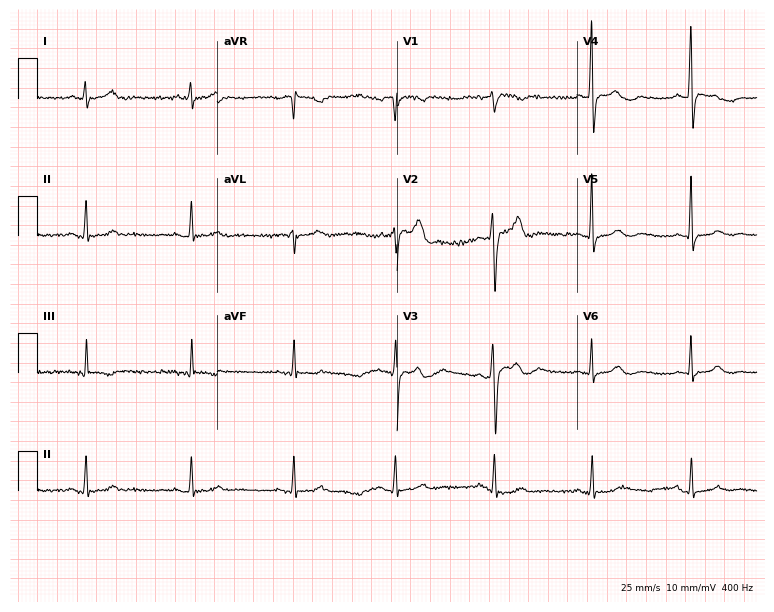
12-lead ECG from a 61-year-old male. Recorded interpretation: within normal limits.